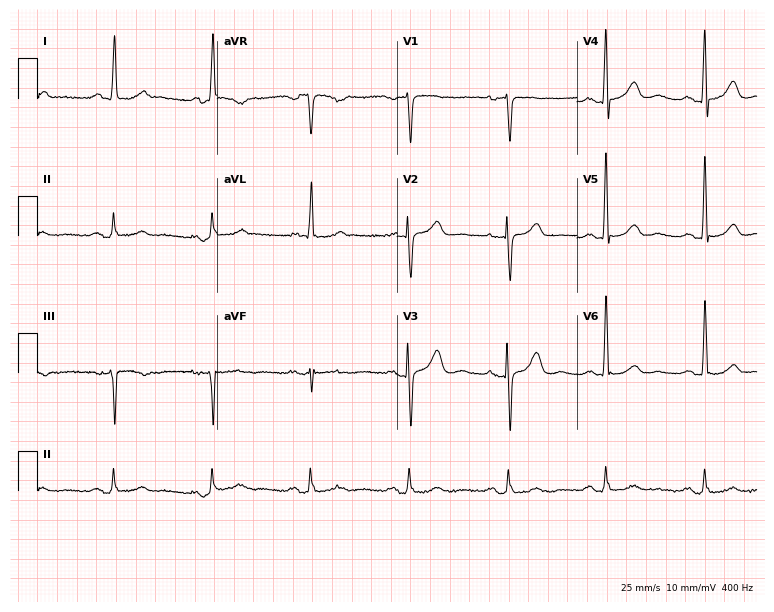
12-lead ECG (7.3-second recording at 400 Hz) from a 69-year-old woman. Screened for six findings — first-degree AV block, right bundle branch block, left bundle branch block, sinus bradycardia, atrial fibrillation, sinus tachycardia — none is recorded. Only these six findings were labelled.